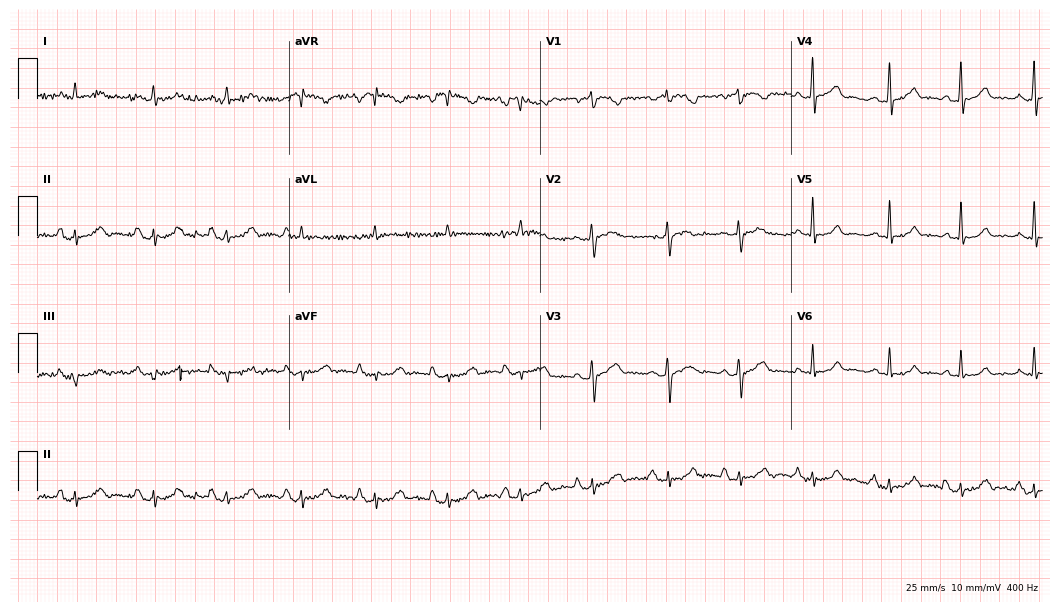
Electrocardiogram, a 76-year-old man. Of the six screened findings (first-degree AV block, right bundle branch block (RBBB), left bundle branch block (LBBB), sinus bradycardia, atrial fibrillation (AF), sinus tachycardia), none is recorded. Findings outside these six are not listed.